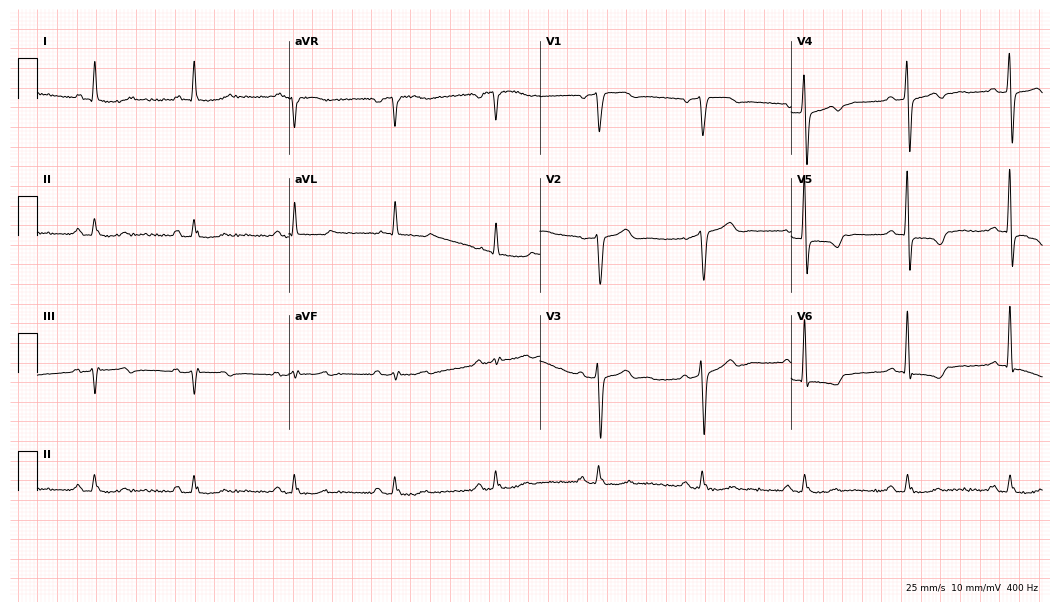
12-lead ECG from a man, 64 years old. No first-degree AV block, right bundle branch block (RBBB), left bundle branch block (LBBB), sinus bradycardia, atrial fibrillation (AF) or sinus tachycardia recorded for this tracing.